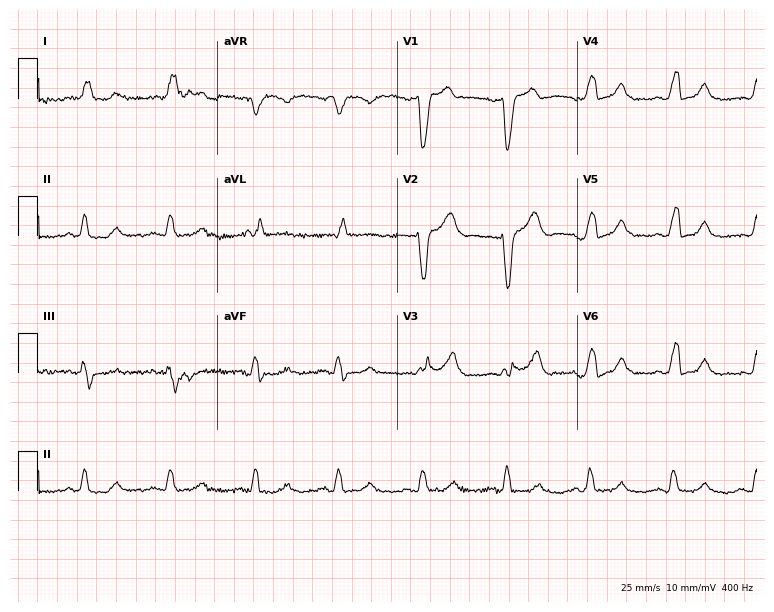
ECG — a man, 83 years old. Findings include left bundle branch block.